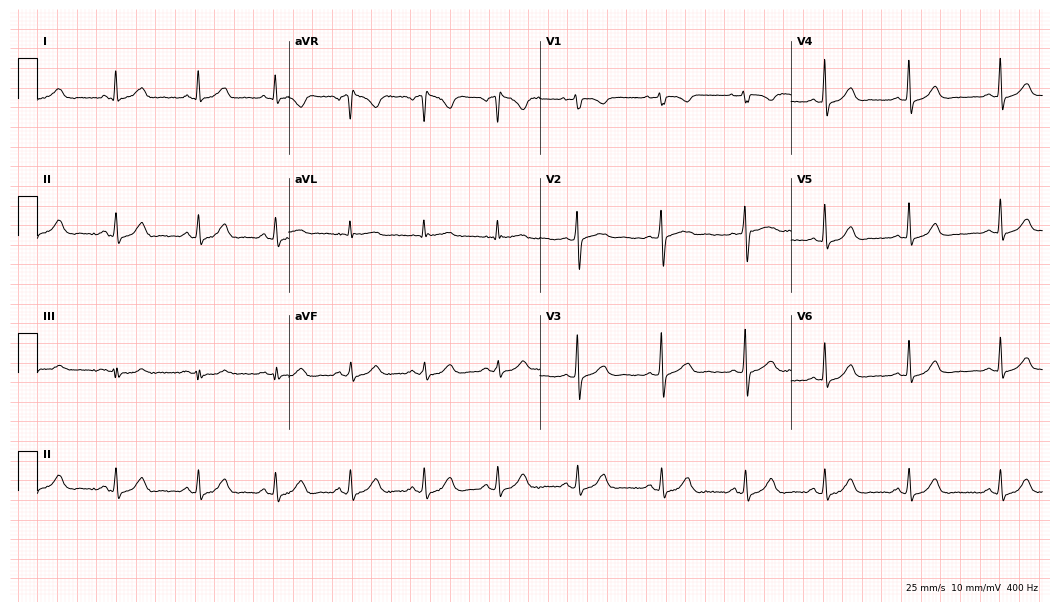
Resting 12-lead electrocardiogram (10.2-second recording at 400 Hz). Patient: a 63-year-old woman. None of these six findings is recorded: first-degree AV block, right bundle branch block (RBBB), left bundle branch block (LBBB), sinus bradycardia, atrial fibrillation (AF), sinus tachycardia. Only these six findings were labelled.